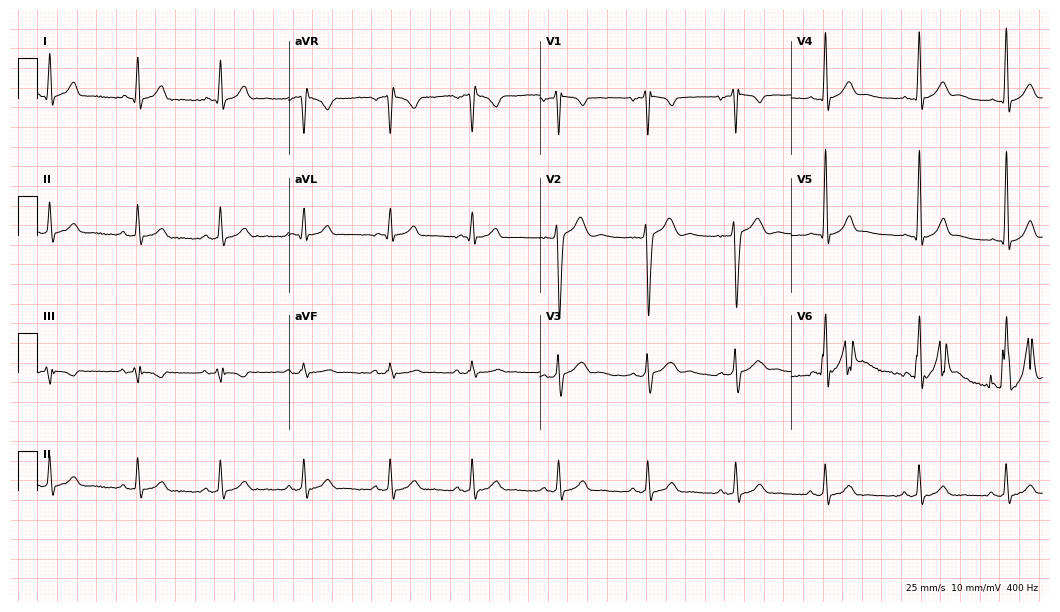
12-lead ECG from a female patient, 18 years old (10.2-second recording at 400 Hz). Recorded interpretation: within normal limits.